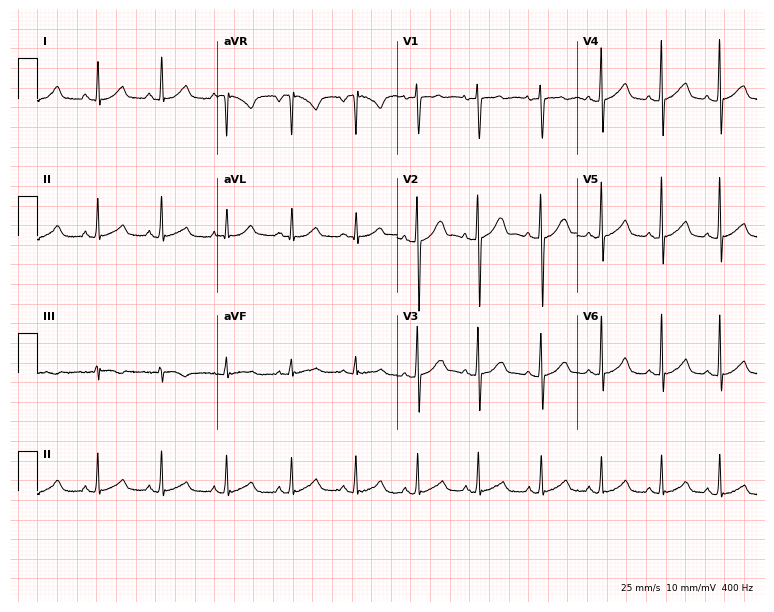
ECG (7.3-second recording at 400 Hz) — a female, 33 years old. Labelled as a normal ECG.